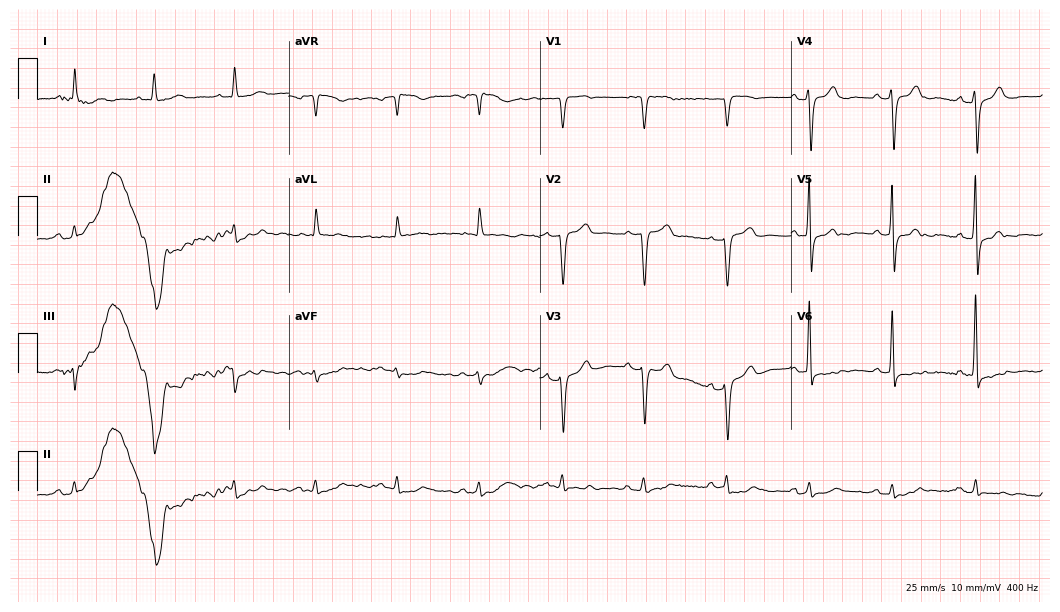
ECG — a male patient, 80 years old. Screened for six findings — first-degree AV block, right bundle branch block (RBBB), left bundle branch block (LBBB), sinus bradycardia, atrial fibrillation (AF), sinus tachycardia — none is recorded. Findings outside these six are not listed.